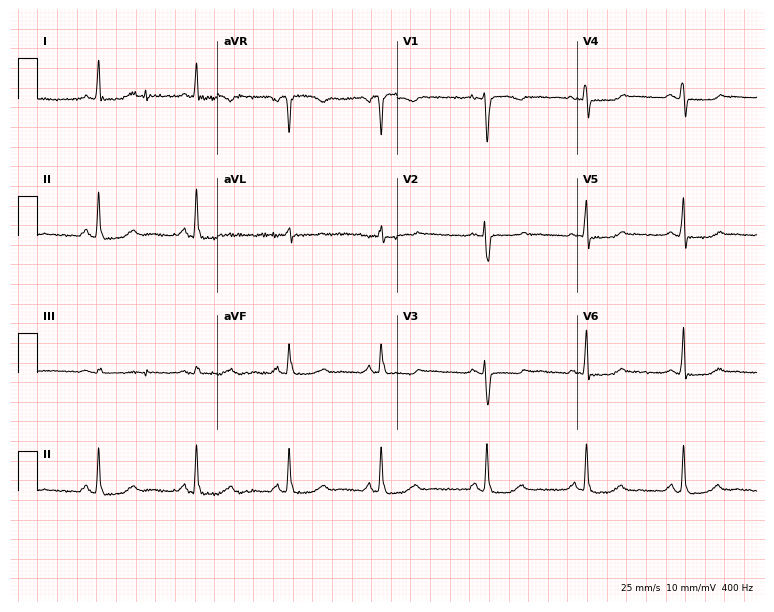
12-lead ECG (7.3-second recording at 400 Hz) from a 56-year-old woman. Screened for six findings — first-degree AV block, right bundle branch block, left bundle branch block, sinus bradycardia, atrial fibrillation, sinus tachycardia — none is recorded.